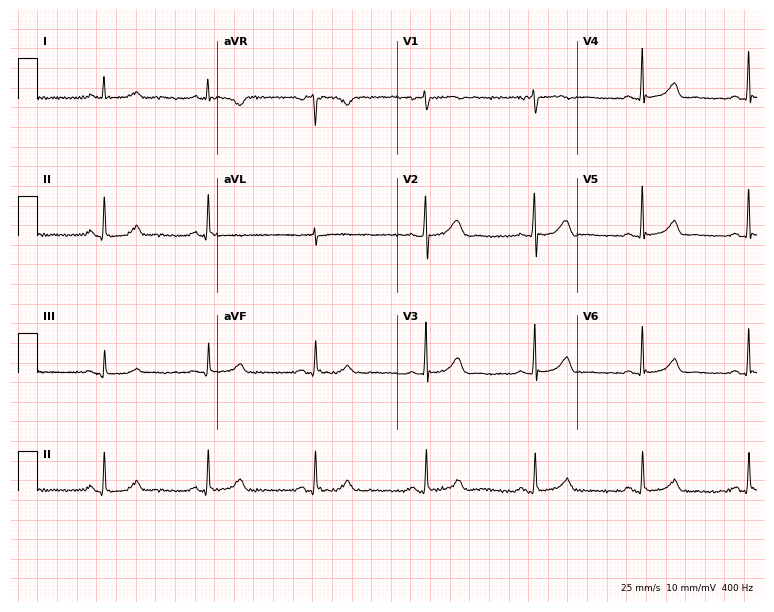
12-lead ECG from a 45-year-old woman. Recorded interpretation: within normal limits.